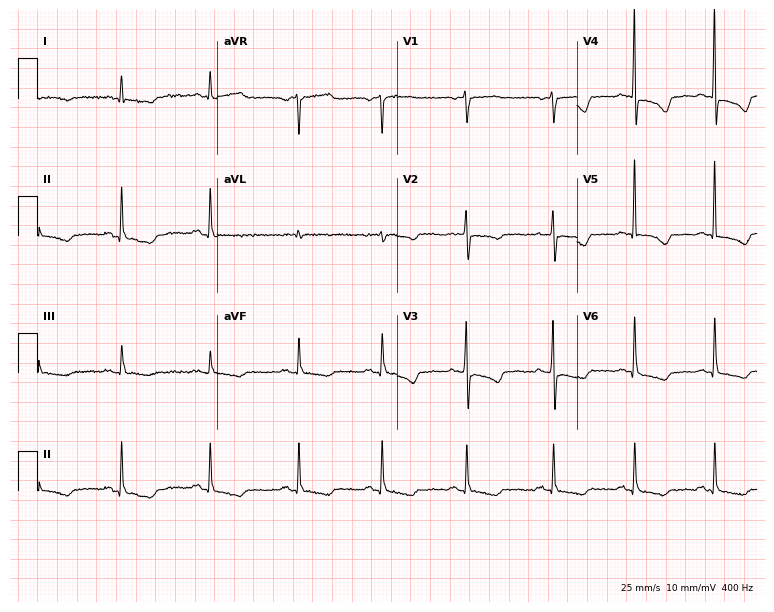
12-lead ECG (7.3-second recording at 400 Hz) from a female, 73 years old. Screened for six findings — first-degree AV block, right bundle branch block, left bundle branch block, sinus bradycardia, atrial fibrillation, sinus tachycardia — none is recorded. Only these six findings were labelled.